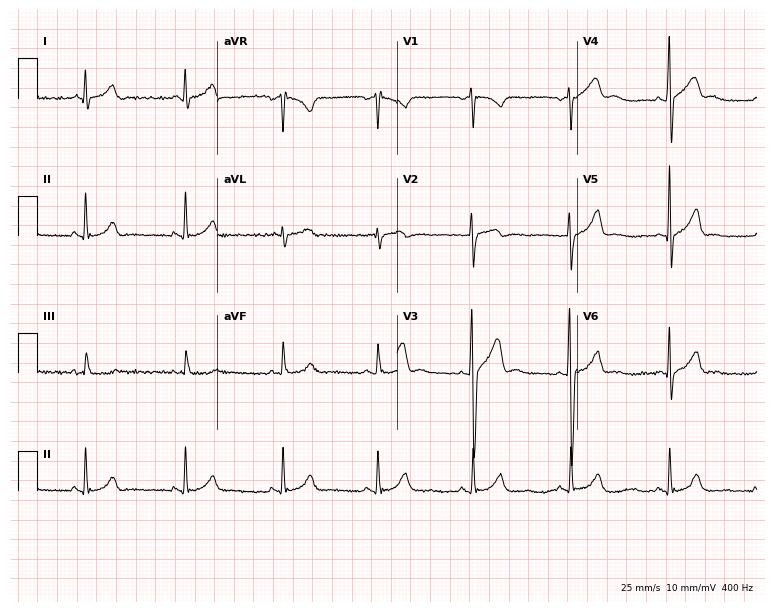
12-lead ECG (7.3-second recording at 400 Hz) from a male patient, 22 years old. Screened for six findings — first-degree AV block, right bundle branch block, left bundle branch block, sinus bradycardia, atrial fibrillation, sinus tachycardia — none is recorded. Only these six findings were labelled.